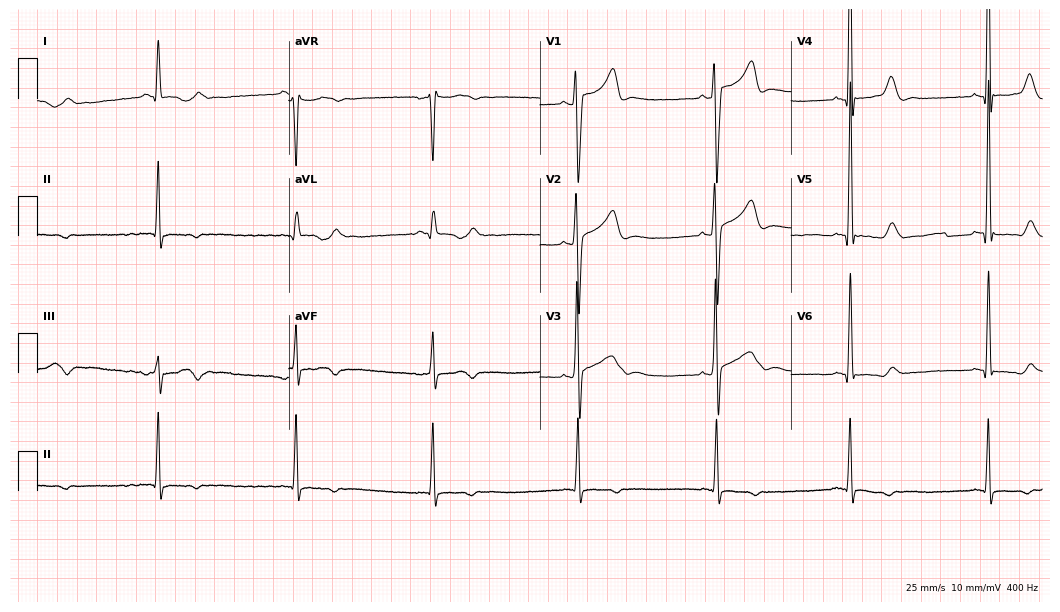
Resting 12-lead electrocardiogram (10.2-second recording at 400 Hz). Patient: a 48-year-old male. The tracing shows sinus bradycardia (a sinus rate of 50 beats per minute or less).